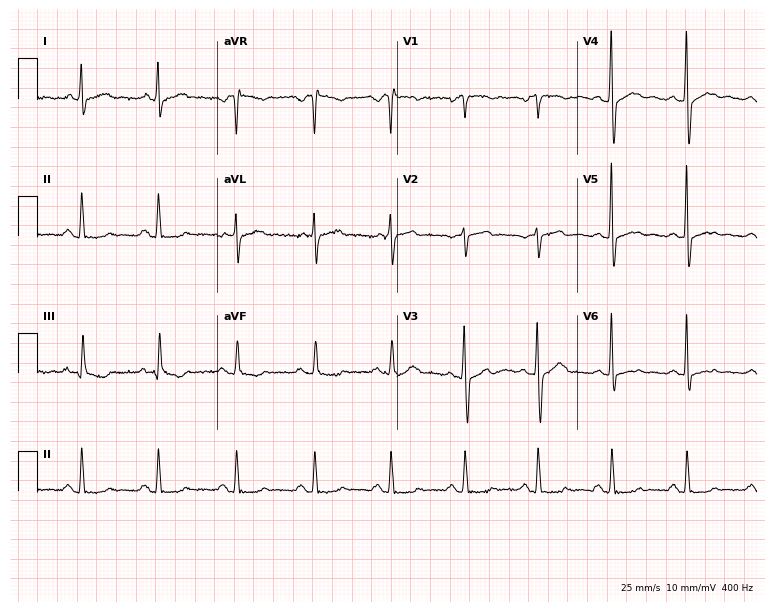
Standard 12-lead ECG recorded from a male patient, 40 years old (7.3-second recording at 400 Hz). None of these six findings is recorded: first-degree AV block, right bundle branch block, left bundle branch block, sinus bradycardia, atrial fibrillation, sinus tachycardia.